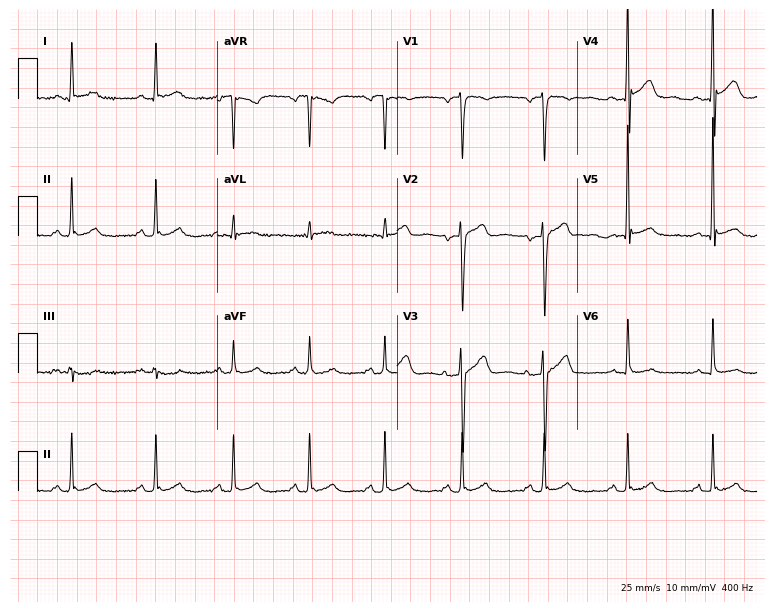
Standard 12-lead ECG recorded from a male, 42 years old (7.3-second recording at 400 Hz). Read as a normal ECG.